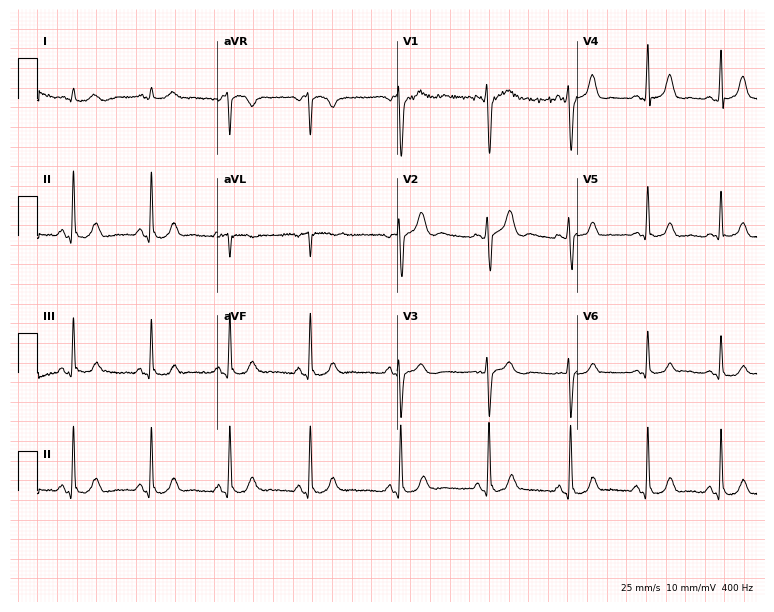
Standard 12-lead ECG recorded from a male, 24 years old. Read as a normal ECG.